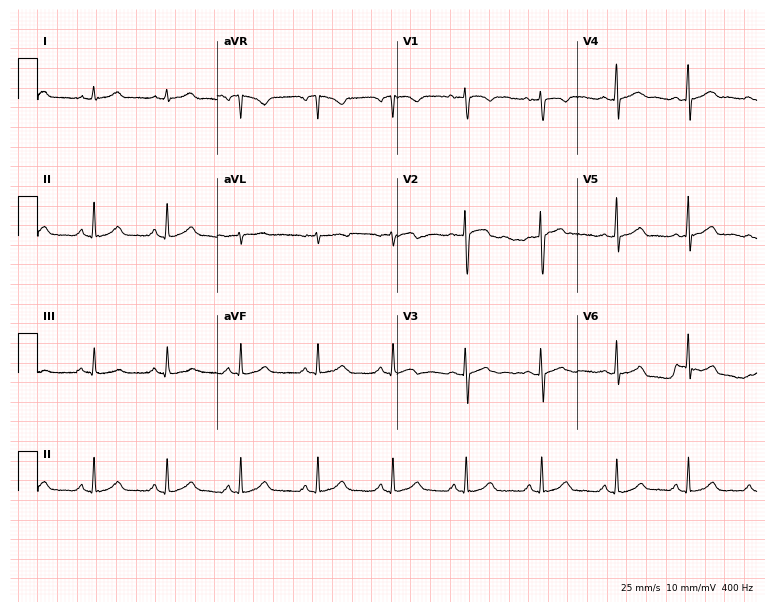
Resting 12-lead electrocardiogram. Patient: a 25-year-old woman. Read as a normal ECG.